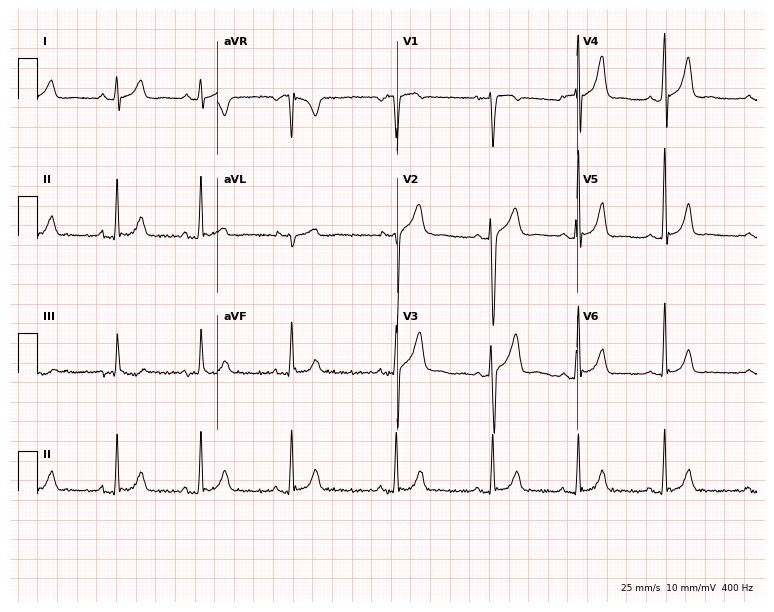
12-lead ECG from a male, 23 years old (7.3-second recording at 400 Hz). No first-degree AV block, right bundle branch block, left bundle branch block, sinus bradycardia, atrial fibrillation or sinus tachycardia recorded for this tracing.